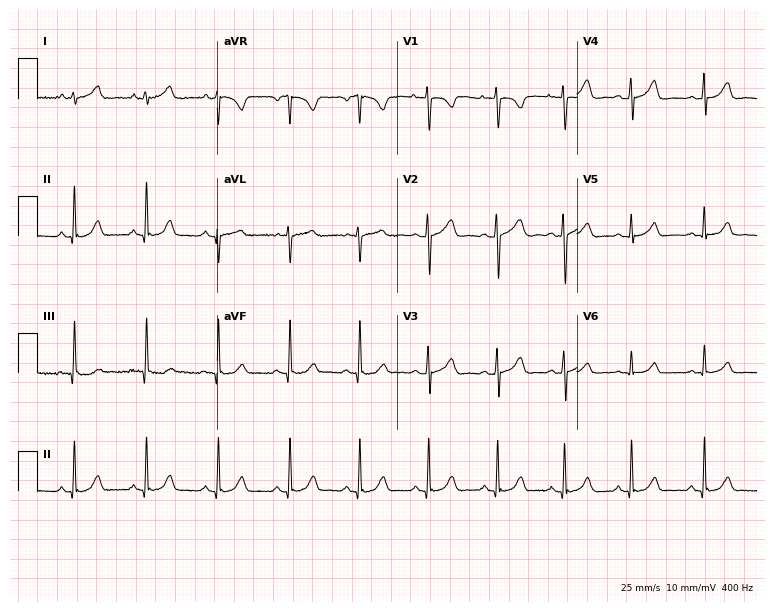
12-lead ECG from a woman, 18 years old. Recorded interpretation: within normal limits.